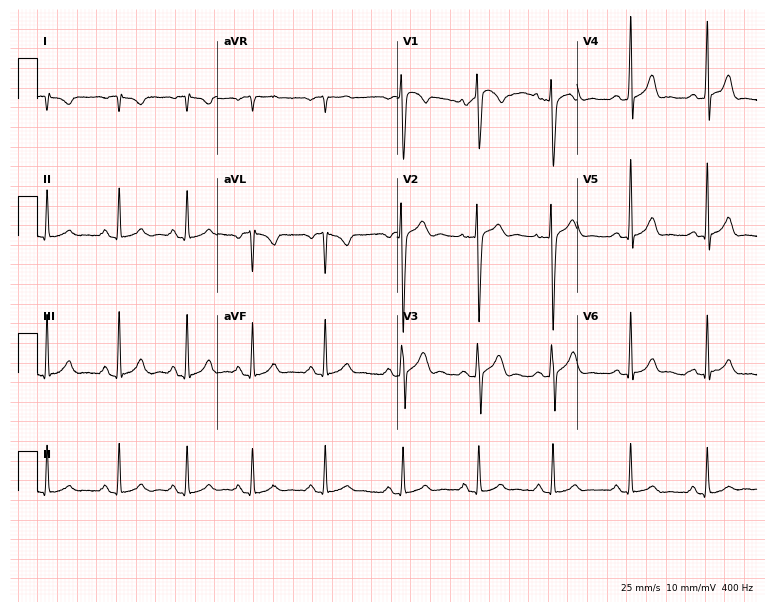
12-lead ECG (7.3-second recording at 400 Hz) from a man, 19 years old. Screened for six findings — first-degree AV block, right bundle branch block, left bundle branch block, sinus bradycardia, atrial fibrillation, sinus tachycardia — none is recorded.